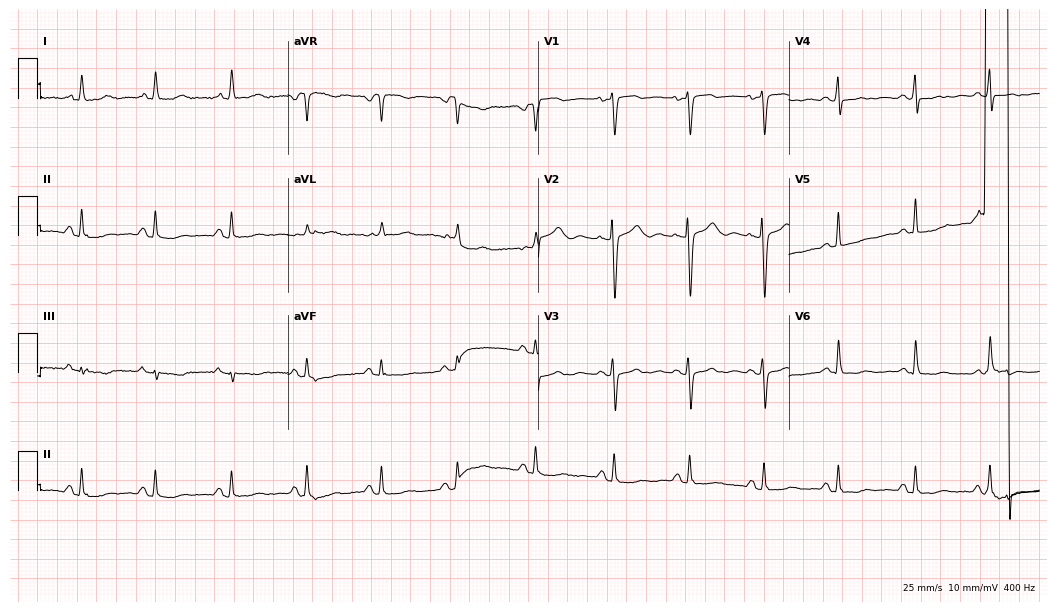
Resting 12-lead electrocardiogram. Patient: a 38-year-old woman. None of these six findings is recorded: first-degree AV block, right bundle branch block, left bundle branch block, sinus bradycardia, atrial fibrillation, sinus tachycardia. Only these six findings were labelled.